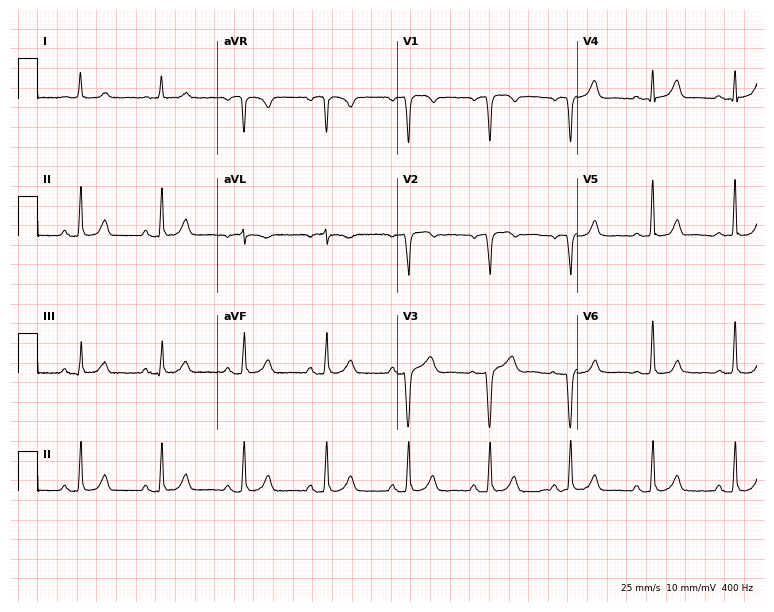
Electrocardiogram (7.3-second recording at 400 Hz), a 47-year-old woman. Of the six screened findings (first-degree AV block, right bundle branch block, left bundle branch block, sinus bradycardia, atrial fibrillation, sinus tachycardia), none is recorded. Only these six findings were labelled.